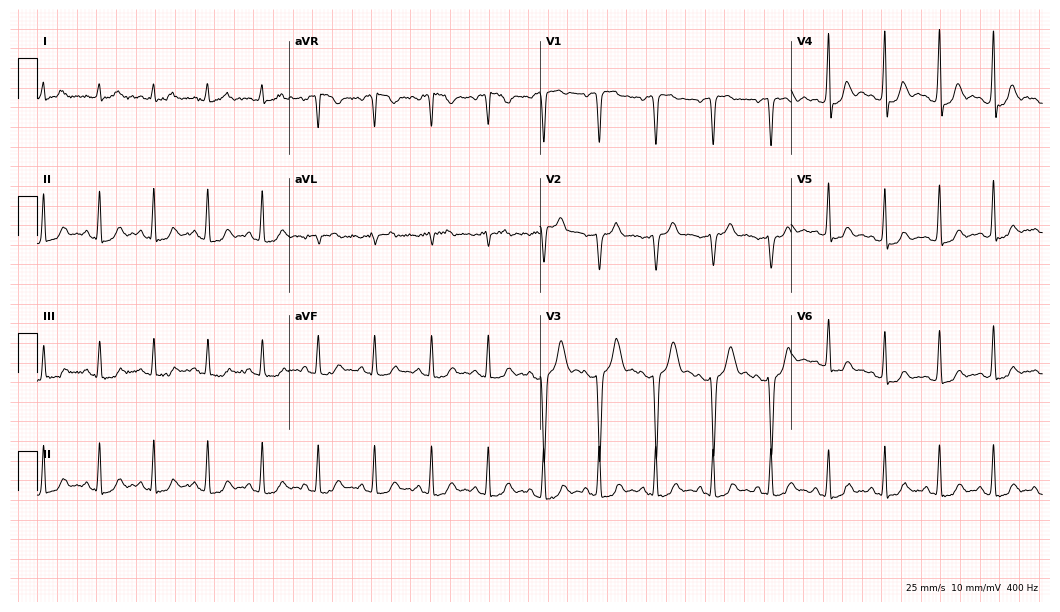
Standard 12-lead ECG recorded from a woman, 45 years old. The tracing shows sinus tachycardia (a sinus rate of 100 beats per minute or more).